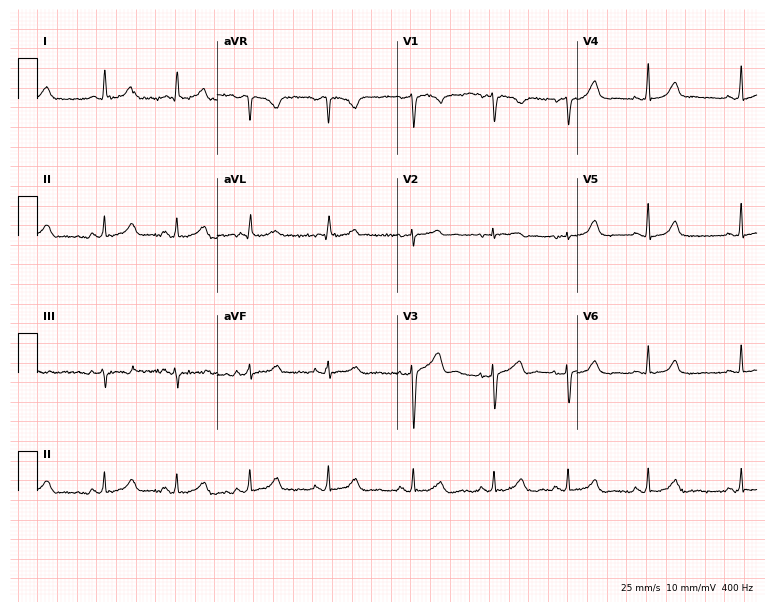
Electrocardiogram, a 29-year-old woman. Overall reading on record: normal ECG.